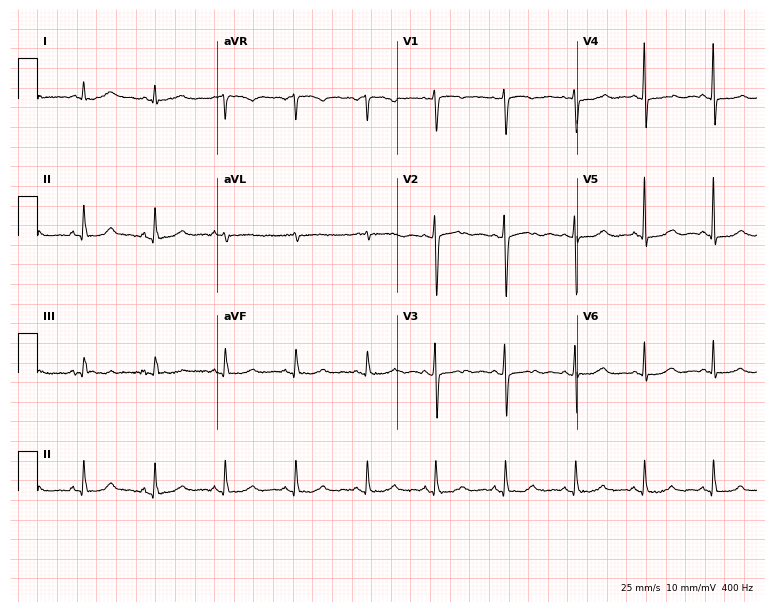
ECG (7.3-second recording at 400 Hz) — a female patient, 68 years old. Screened for six findings — first-degree AV block, right bundle branch block, left bundle branch block, sinus bradycardia, atrial fibrillation, sinus tachycardia — none is recorded. Only these six findings were labelled.